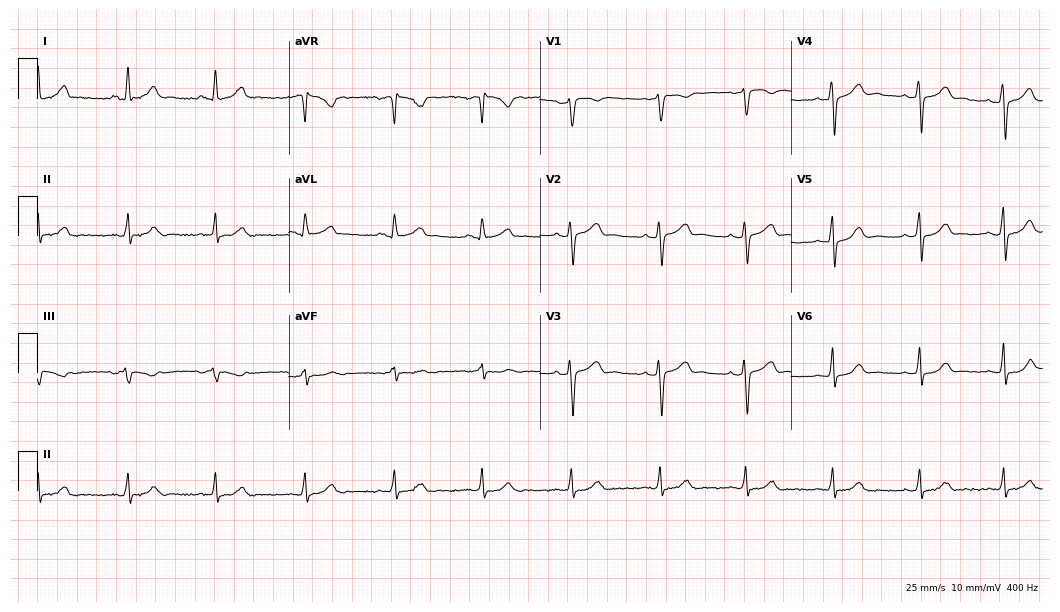
12-lead ECG from a female, 42 years old. Recorded interpretation: within normal limits.